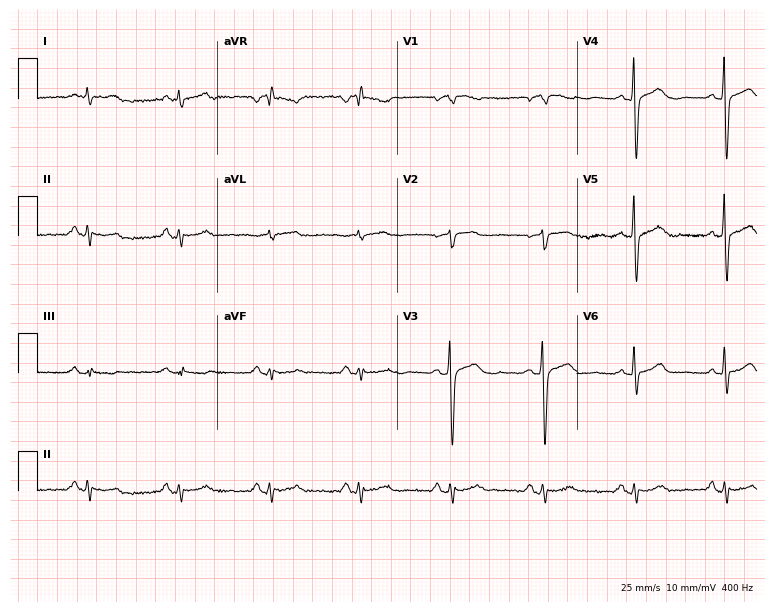
Resting 12-lead electrocardiogram (7.3-second recording at 400 Hz). Patient: a man, 60 years old. None of these six findings is recorded: first-degree AV block, right bundle branch block, left bundle branch block, sinus bradycardia, atrial fibrillation, sinus tachycardia.